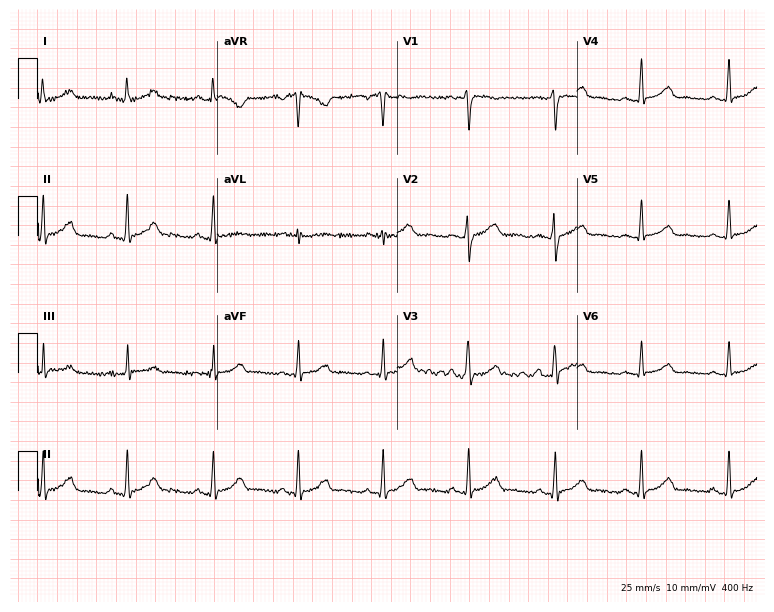
ECG (7.3-second recording at 400 Hz) — a 48-year-old woman. Labelled as a normal ECG.